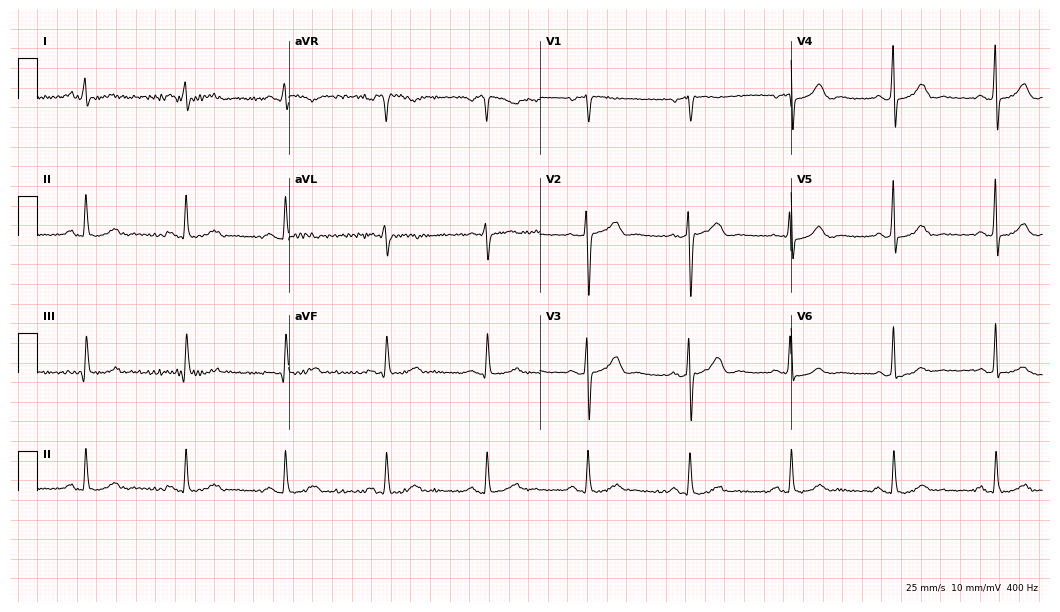
12-lead ECG from an 83-year-old female patient. Recorded interpretation: within normal limits.